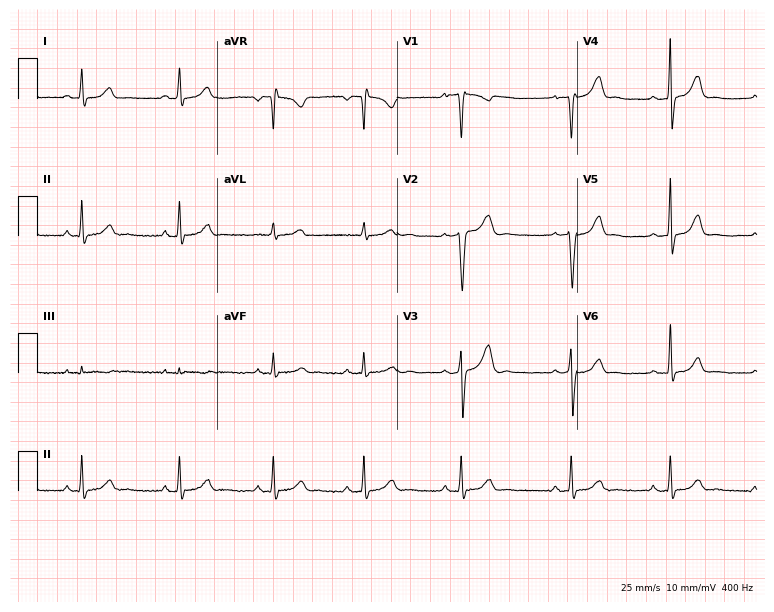
Electrocardiogram (7.3-second recording at 400 Hz), a 21-year-old woman. Overall reading on record: normal ECG.